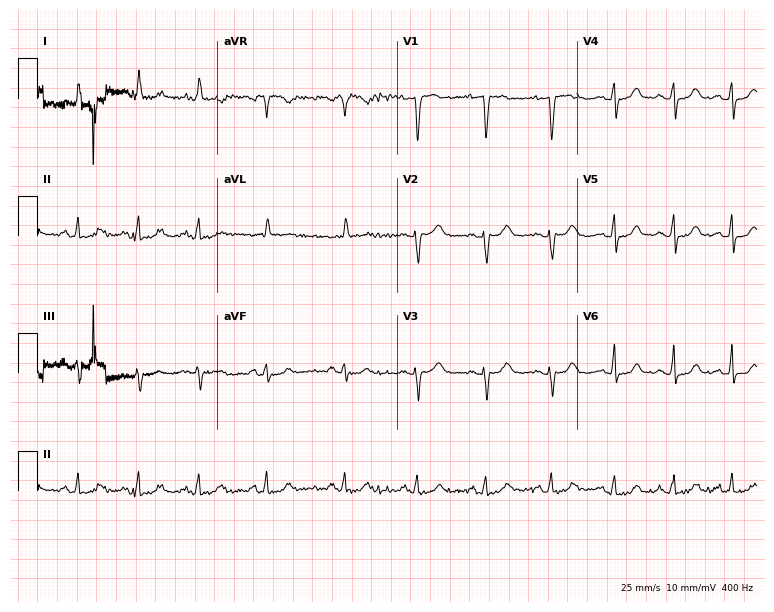
12-lead ECG (7.3-second recording at 400 Hz) from a female, 72 years old. Screened for six findings — first-degree AV block, right bundle branch block, left bundle branch block, sinus bradycardia, atrial fibrillation, sinus tachycardia — none is recorded.